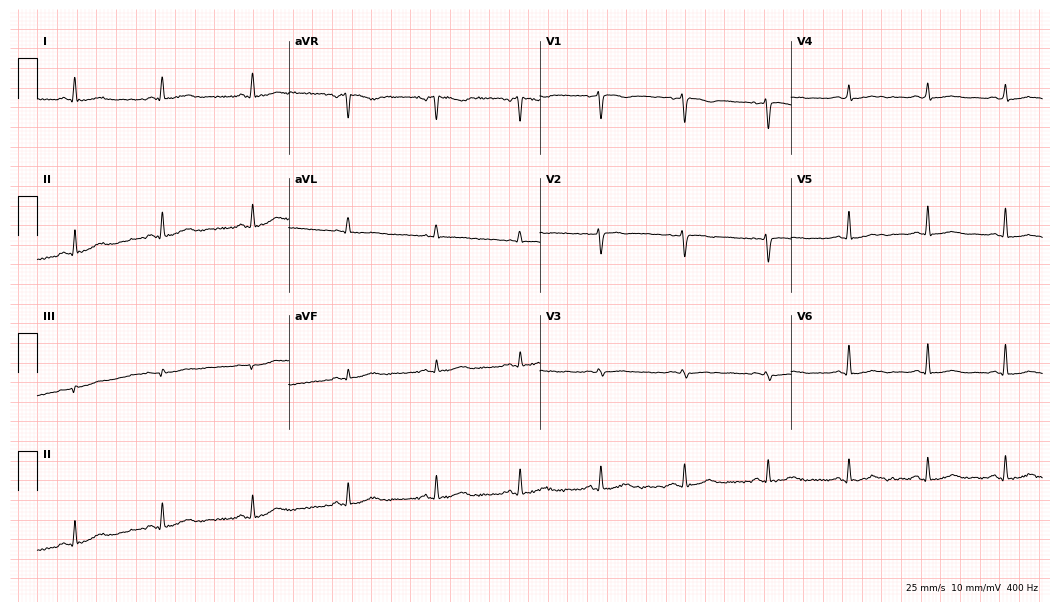
ECG (10.2-second recording at 400 Hz) — a woman, 56 years old. Screened for six findings — first-degree AV block, right bundle branch block, left bundle branch block, sinus bradycardia, atrial fibrillation, sinus tachycardia — none is recorded.